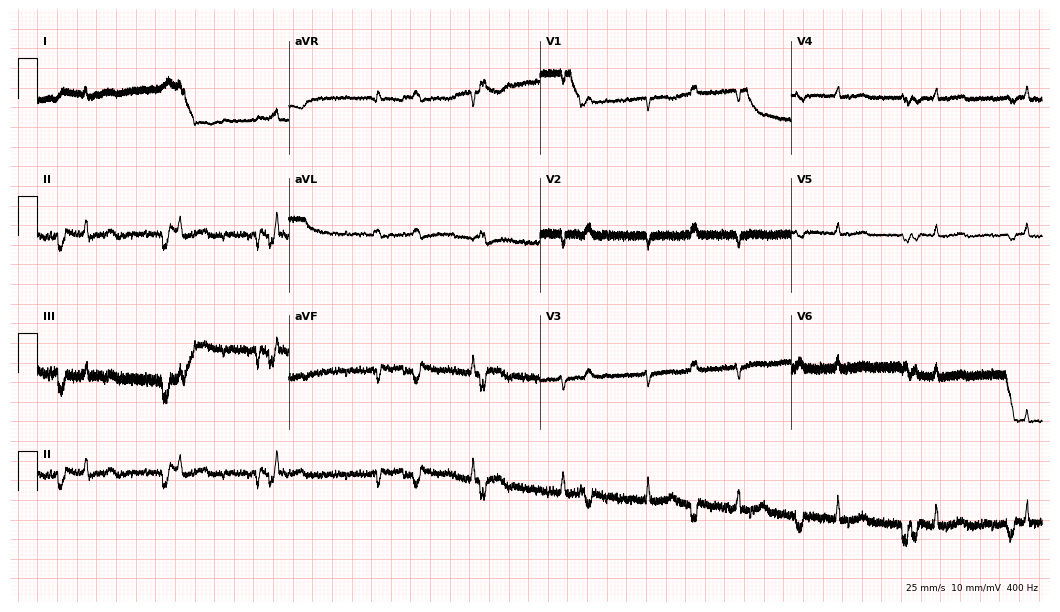
12-lead ECG from a 31-year-old female (10.2-second recording at 400 Hz). No first-degree AV block, right bundle branch block, left bundle branch block, sinus bradycardia, atrial fibrillation or sinus tachycardia recorded for this tracing. Only these six findings were labelled.